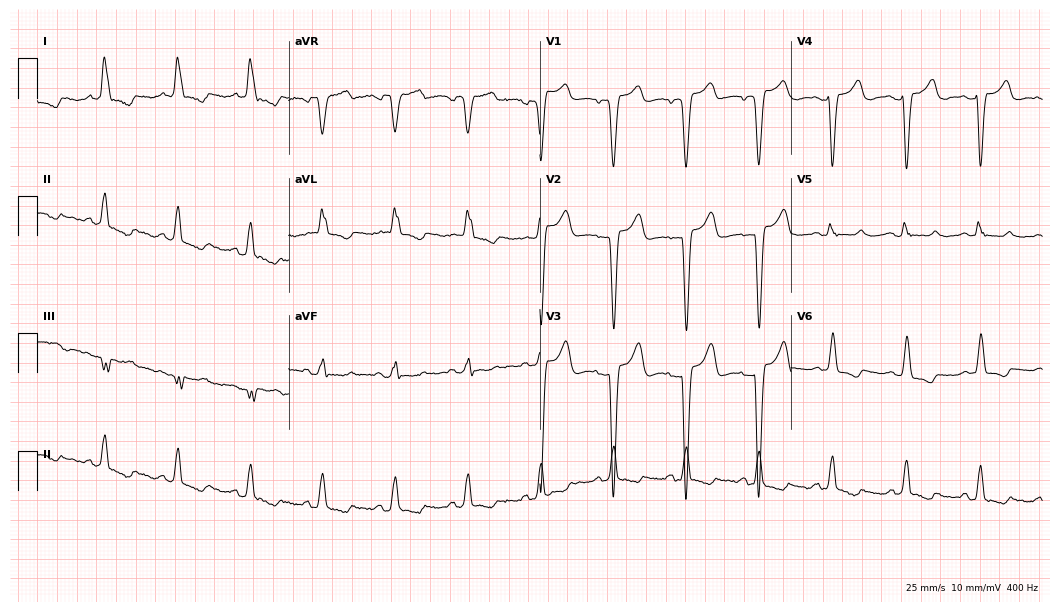
Resting 12-lead electrocardiogram. Patient: a 67-year-old female. The tracing shows left bundle branch block.